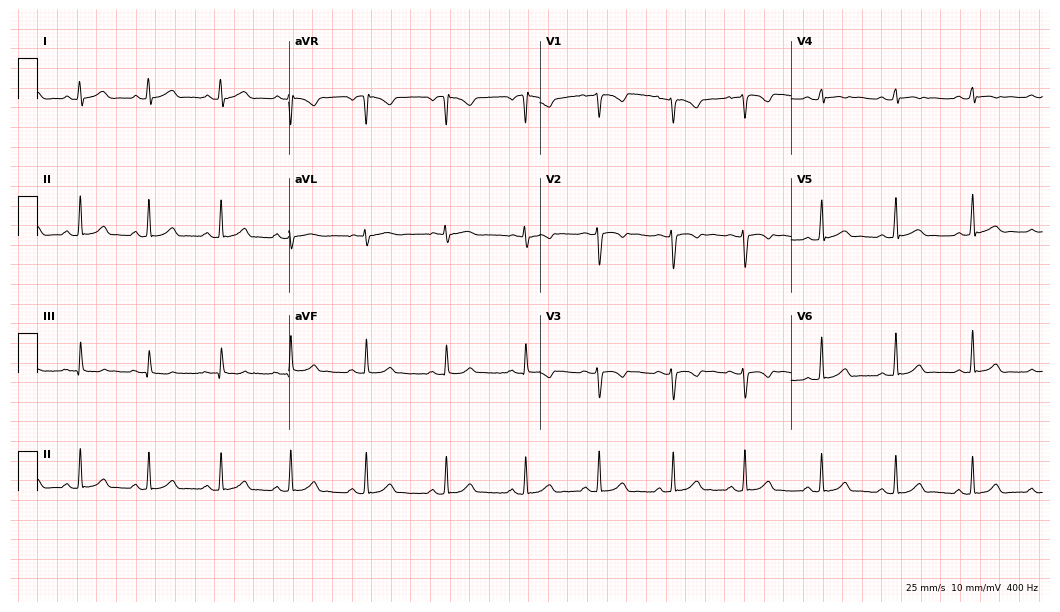
12-lead ECG from a 25-year-old female patient. Screened for six findings — first-degree AV block, right bundle branch block, left bundle branch block, sinus bradycardia, atrial fibrillation, sinus tachycardia — none is recorded.